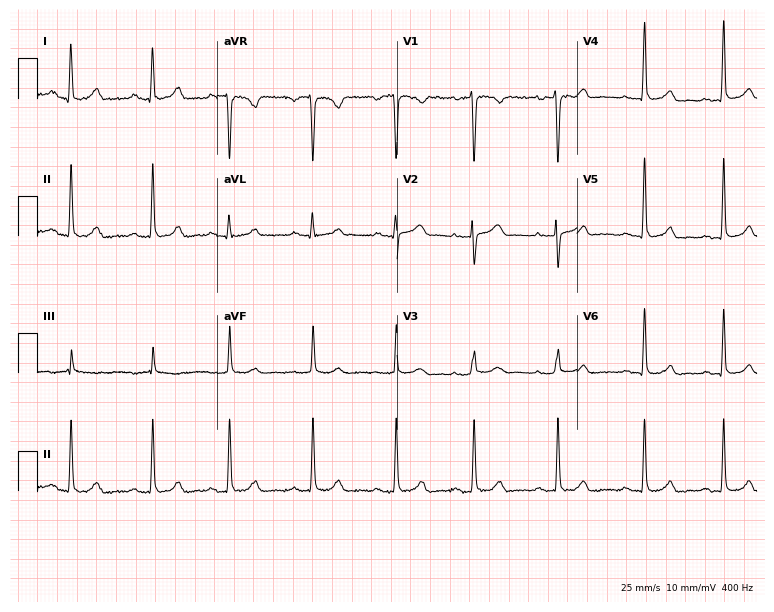
12-lead ECG from a 41-year-old female patient (7.3-second recording at 400 Hz). Recorded interpretation: within normal limits.